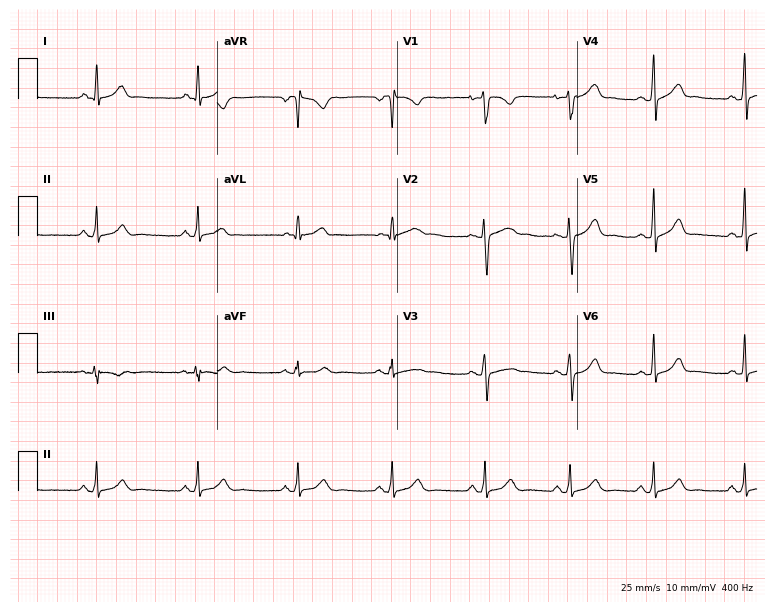
12-lead ECG from a woman, 23 years old (7.3-second recording at 400 Hz). No first-degree AV block, right bundle branch block (RBBB), left bundle branch block (LBBB), sinus bradycardia, atrial fibrillation (AF) or sinus tachycardia recorded for this tracing. Other findings, if any, are not listed.